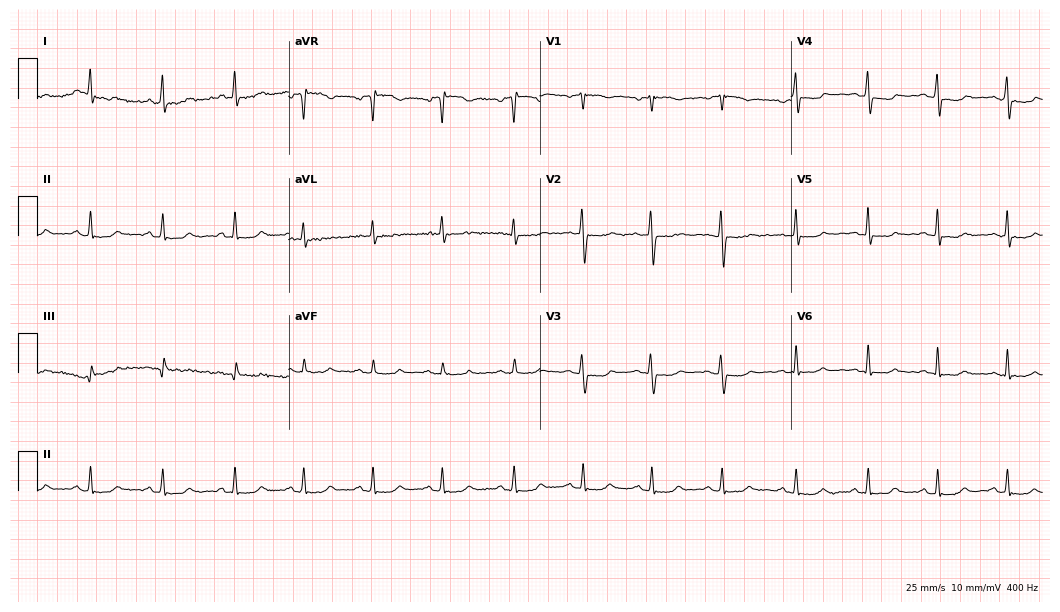
12-lead ECG from a female patient, 47 years old (10.2-second recording at 400 Hz). No first-degree AV block, right bundle branch block, left bundle branch block, sinus bradycardia, atrial fibrillation or sinus tachycardia recorded for this tracing.